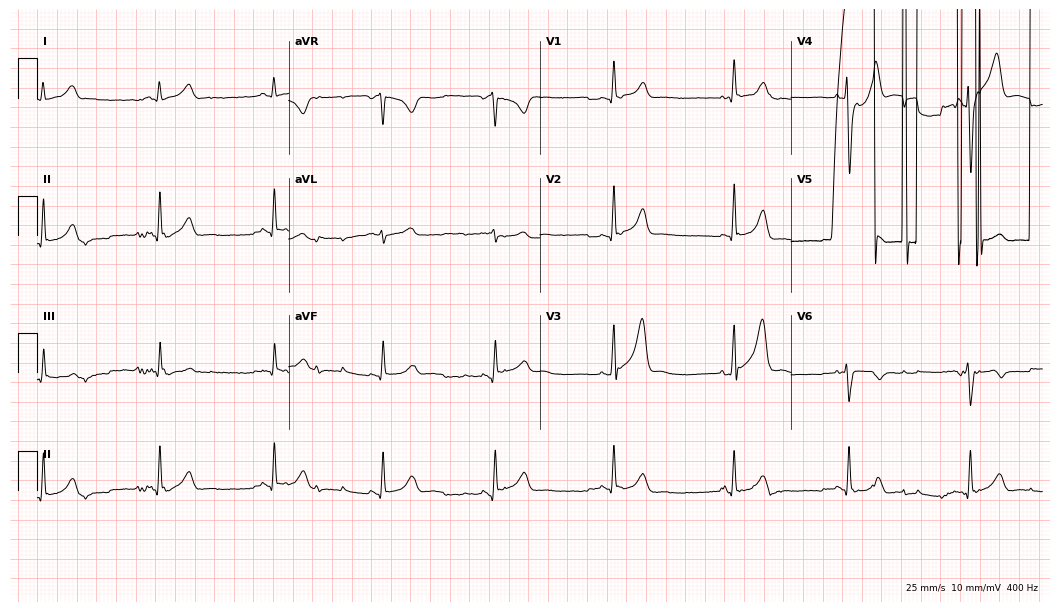
12-lead ECG (10.2-second recording at 400 Hz) from a 37-year-old male. Screened for six findings — first-degree AV block, right bundle branch block, left bundle branch block, sinus bradycardia, atrial fibrillation, sinus tachycardia — none is recorded.